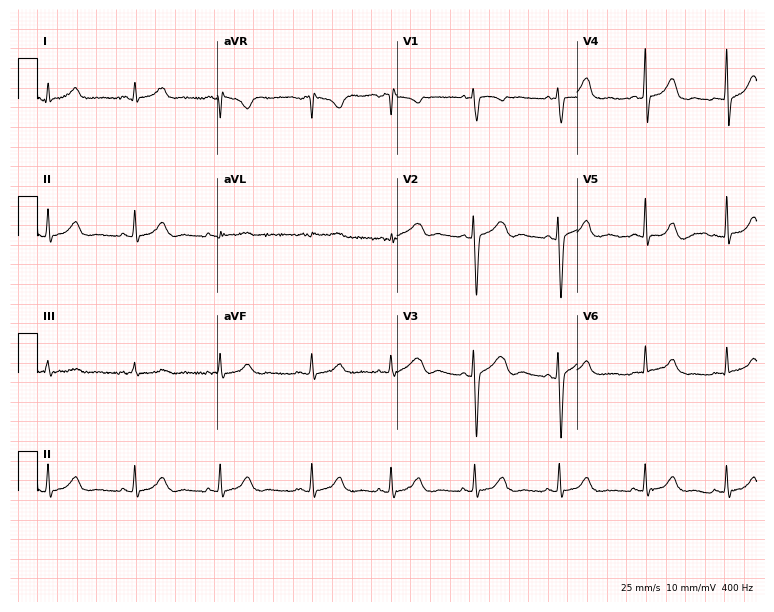
ECG (7.3-second recording at 400 Hz) — a female, 27 years old. Labelled as a normal ECG.